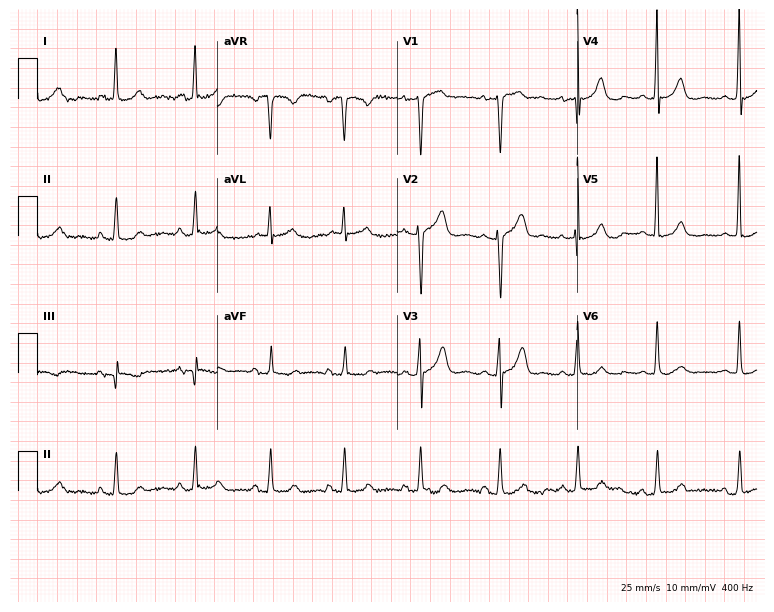
Electrocardiogram, a 75-year-old female patient. Of the six screened findings (first-degree AV block, right bundle branch block, left bundle branch block, sinus bradycardia, atrial fibrillation, sinus tachycardia), none is recorded. Other findings, if any, are not listed.